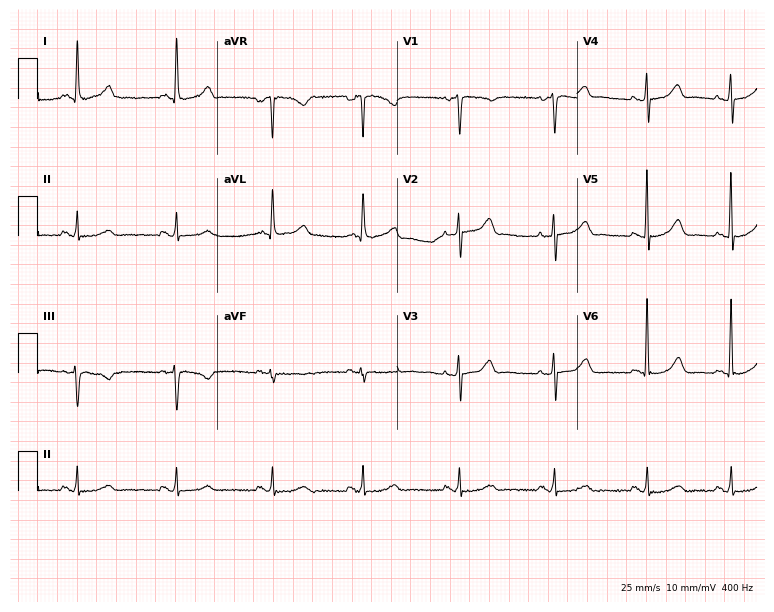
ECG (7.3-second recording at 400 Hz) — a 56-year-old female patient. Screened for six findings — first-degree AV block, right bundle branch block (RBBB), left bundle branch block (LBBB), sinus bradycardia, atrial fibrillation (AF), sinus tachycardia — none is recorded.